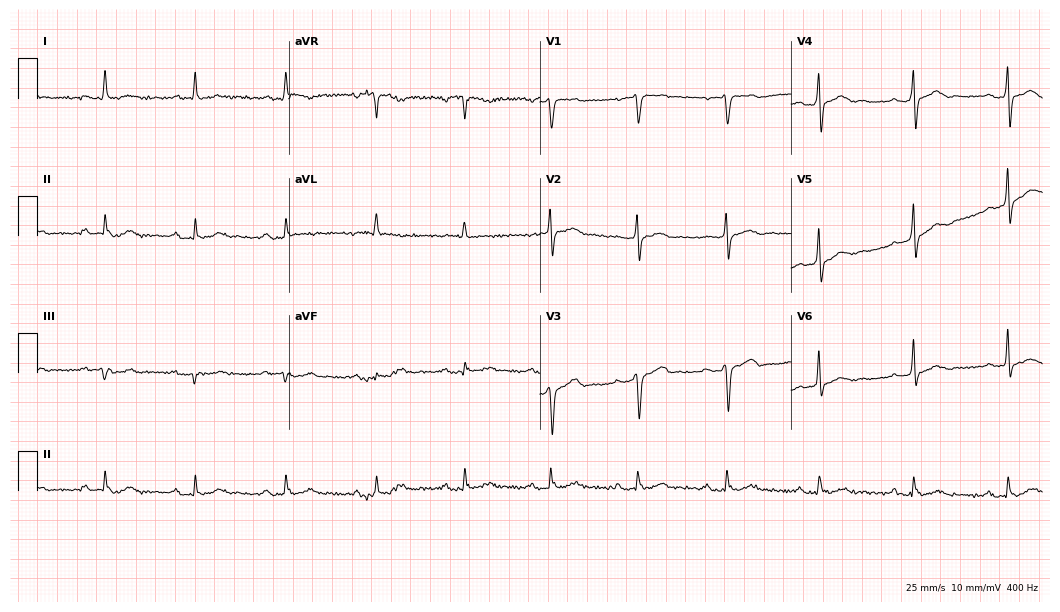
Resting 12-lead electrocardiogram (10.2-second recording at 400 Hz). Patient: a 62-year-old male. The tracing shows first-degree AV block.